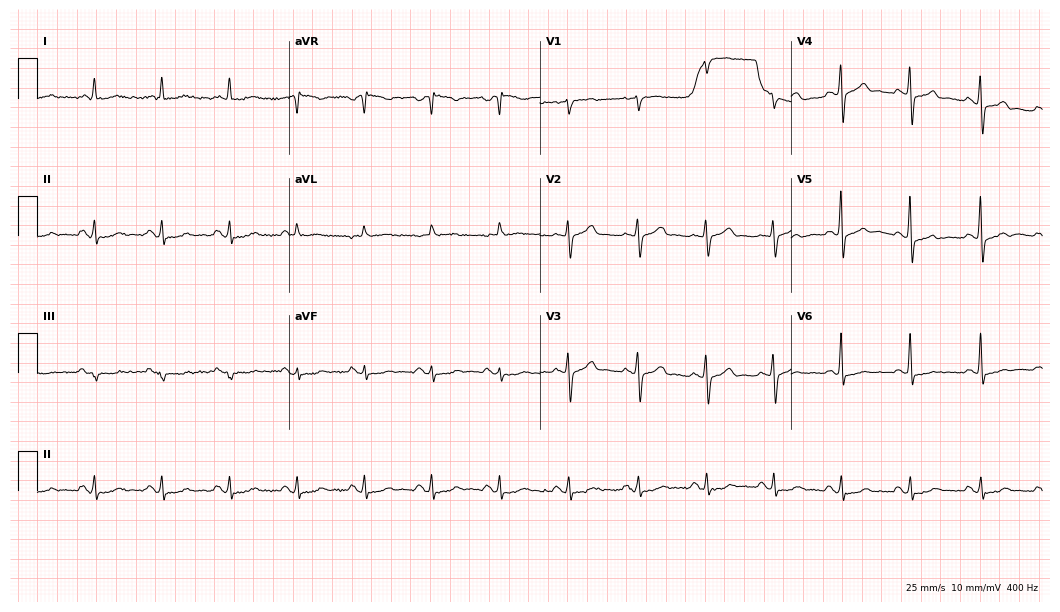
Resting 12-lead electrocardiogram. Patient: a 65-year-old male. None of these six findings is recorded: first-degree AV block, right bundle branch block (RBBB), left bundle branch block (LBBB), sinus bradycardia, atrial fibrillation (AF), sinus tachycardia.